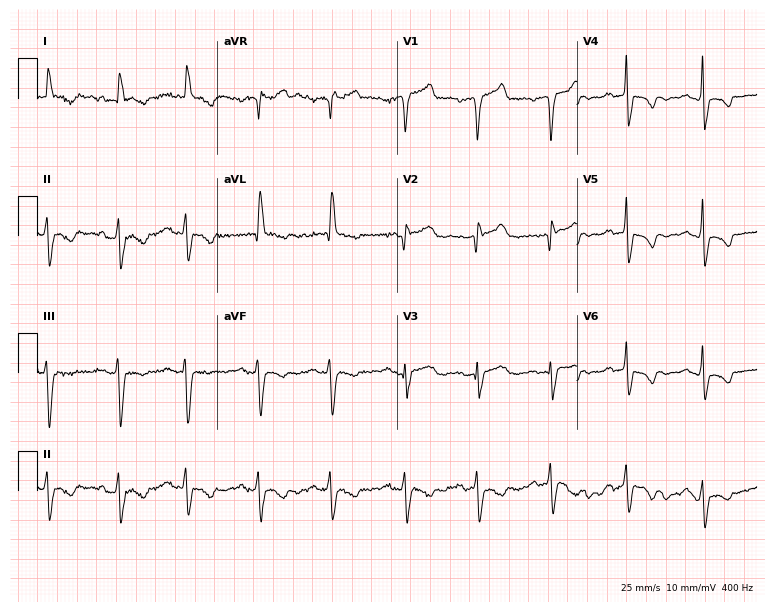
ECG (7.3-second recording at 400 Hz) — a male patient, 68 years old. Screened for six findings — first-degree AV block, right bundle branch block, left bundle branch block, sinus bradycardia, atrial fibrillation, sinus tachycardia — none is recorded. Other findings, if any, are not listed.